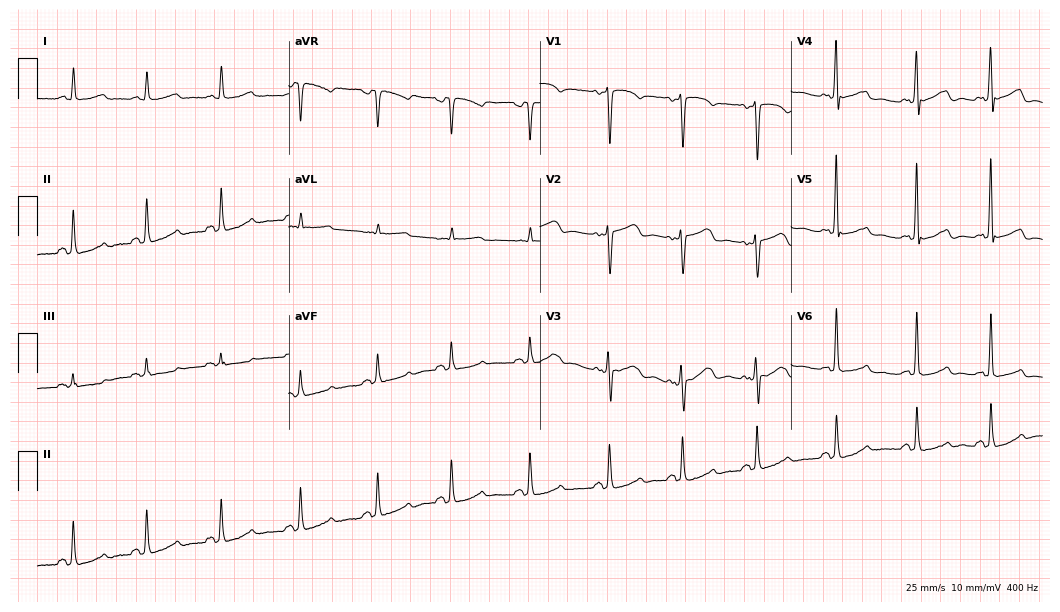
Resting 12-lead electrocardiogram (10.2-second recording at 400 Hz). Patient: a female, 65 years old. None of these six findings is recorded: first-degree AV block, right bundle branch block, left bundle branch block, sinus bradycardia, atrial fibrillation, sinus tachycardia.